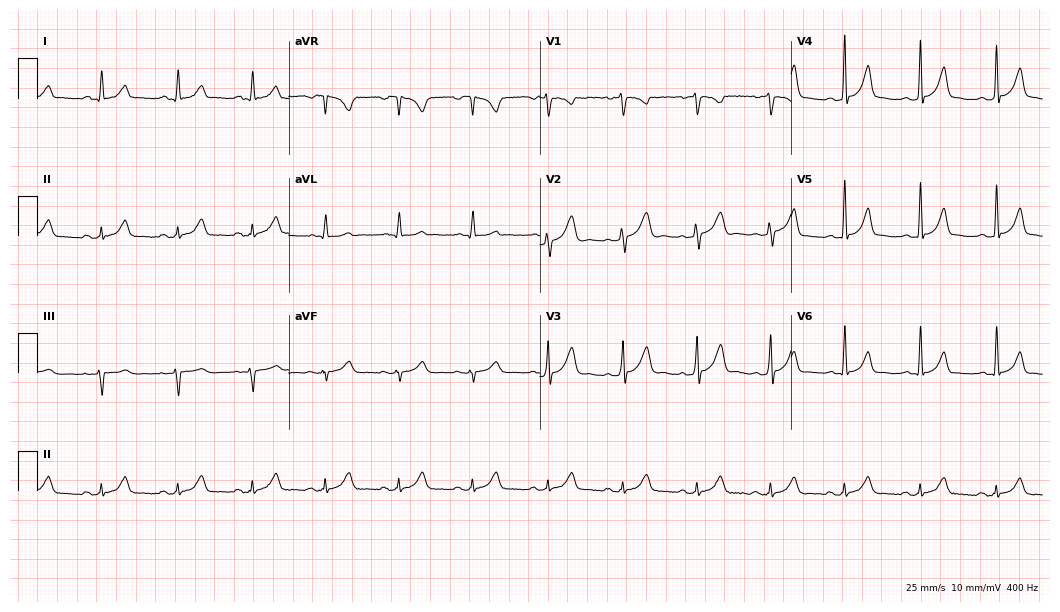
Standard 12-lead ECG recorded from a woman, 27 years old (10.2-second recording at 400 Hz). Read as a normal ECG.